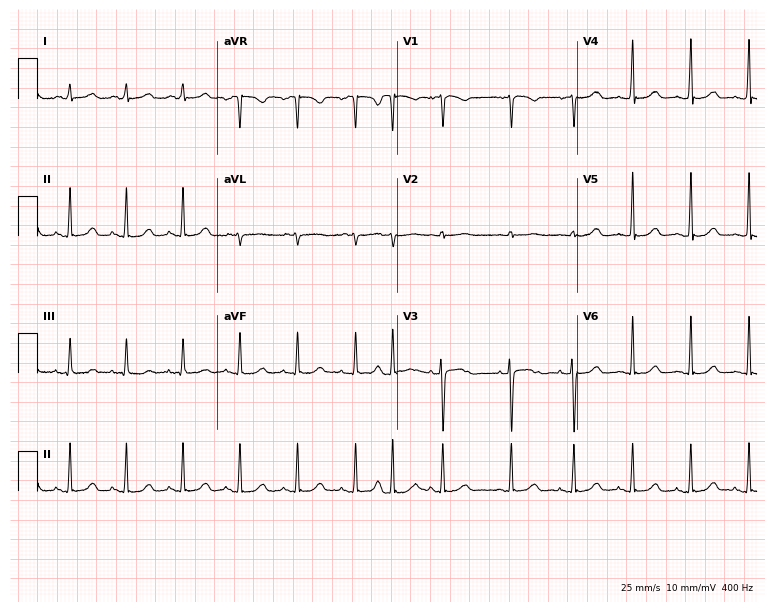
12-lead ECG (7.3-second recording at 400 Hz) from a 49-year-old woman. Findings include sinus tachycardia (a sinus rate of 100 beats per minute or more).